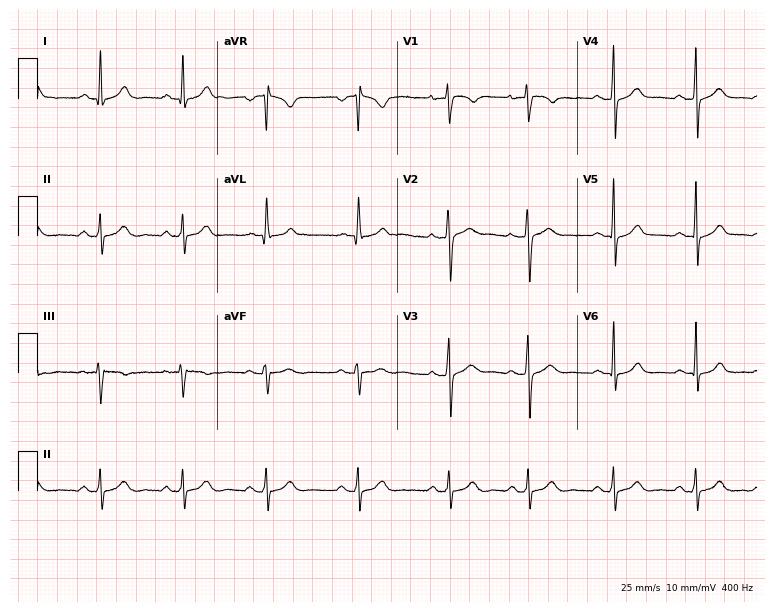
Electrocardiogram, a man, 27 years old. Overall reading on record: normal ECG.